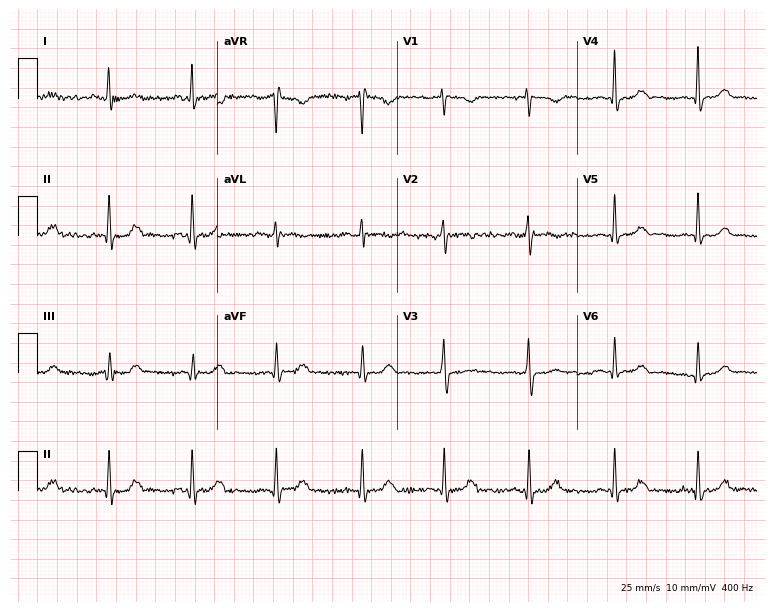
ECG (7.3-second recording at 400 Hz) — a female patient, 37 years old. Labelled as a normal ECG.